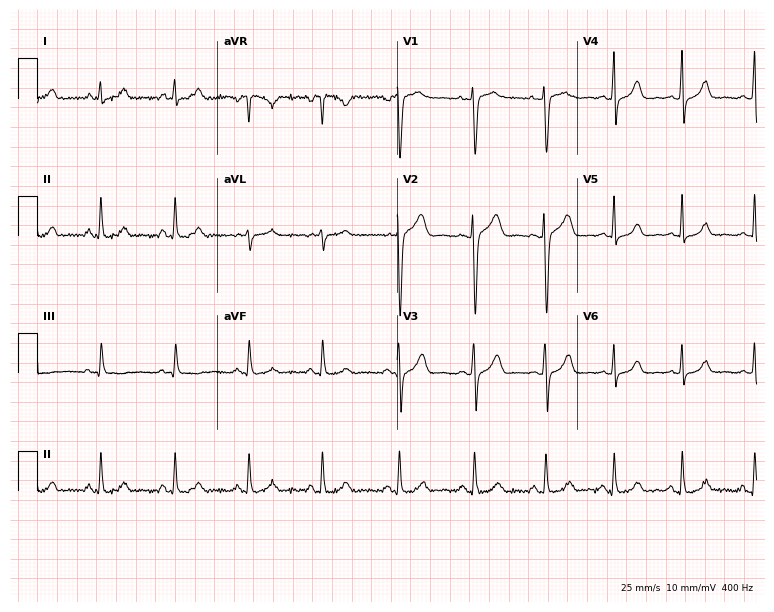
Electrocardiogram (7.3-second recording at 400 Hz), a female, 29 years old. Of the six screened findings (first-degree AV block, right bundle branch block, left bundle branch block, sinus bradycardia, atrial fibrillation, sinus tachycardia), none is recorded.